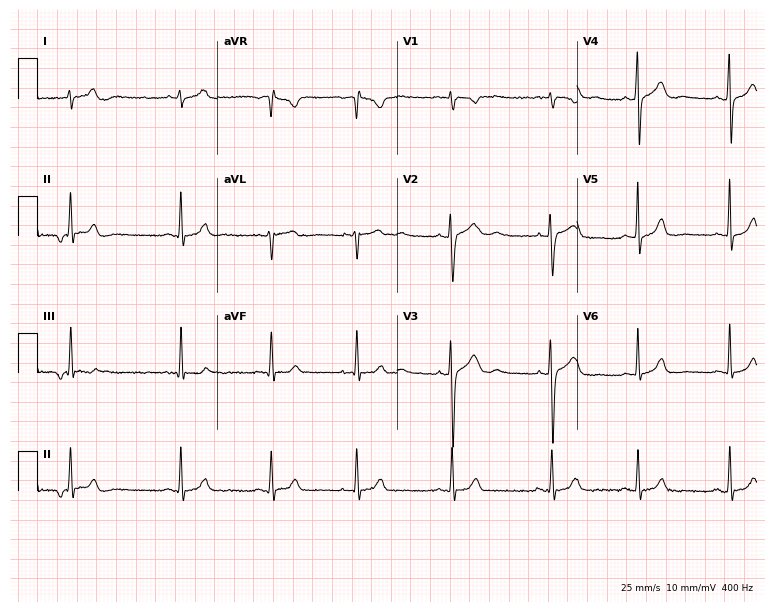
Electrocardiogram, a woman, 21 years old. Overall reading on record: normal ECG.